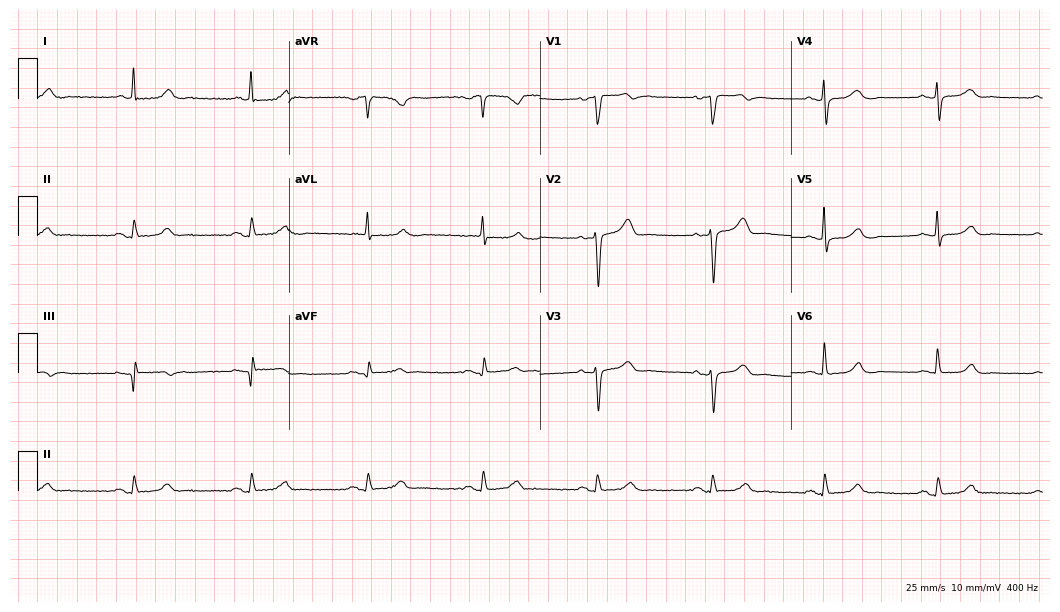
12-lead ECG from a woman, 72 years old. Recorded interpretation: within normal limits.